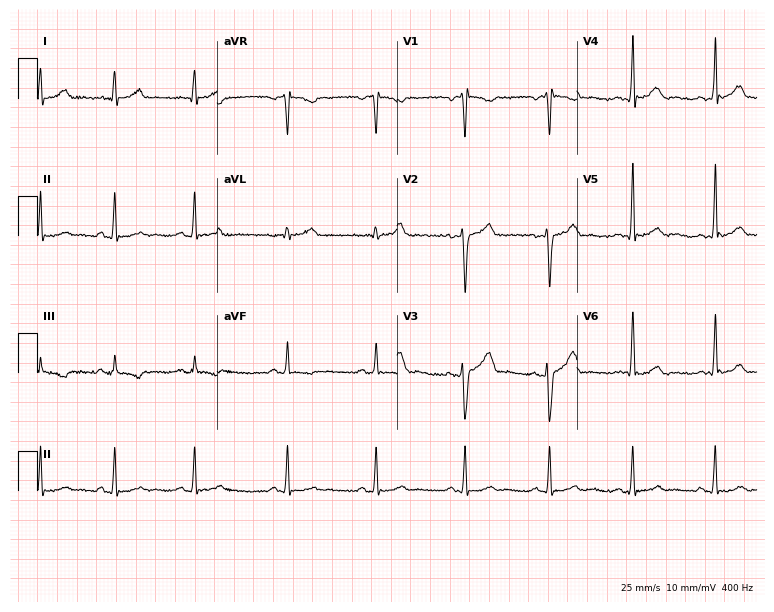
Standard 12-lead ECG recorded from a 32-year-old male. None of these six findings is recorded: first-degree AV block, right bundle branch block (RBBB), left bundle branch block (LBBB), sinus bradycardia, atrial fibrillation (AF), sinus tachycardia. Other findings, if any, are not listed.